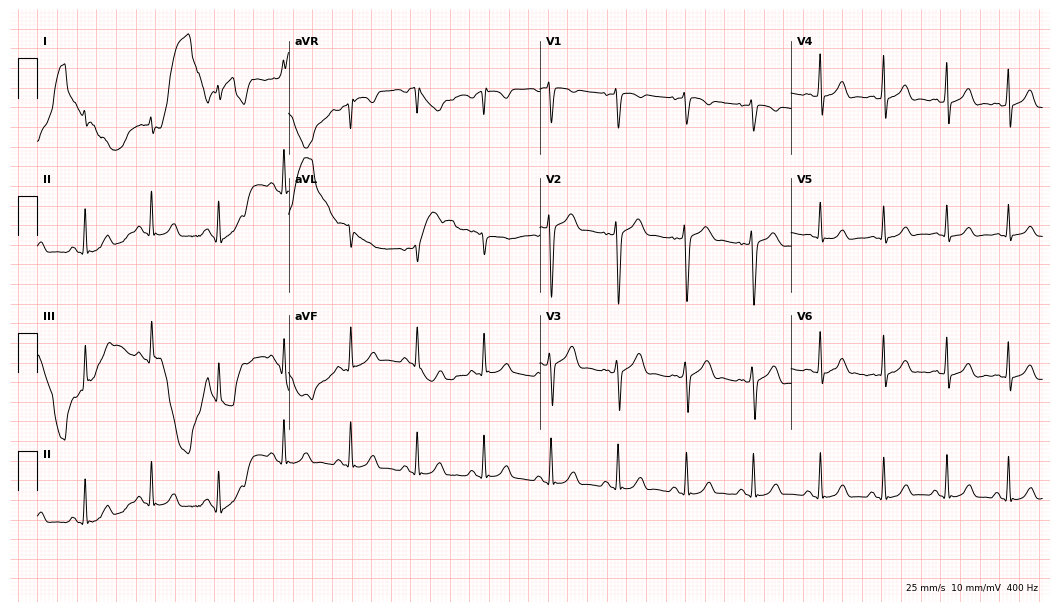
ECG — a 38-year-old male patient. Labelled as a normal ECG.